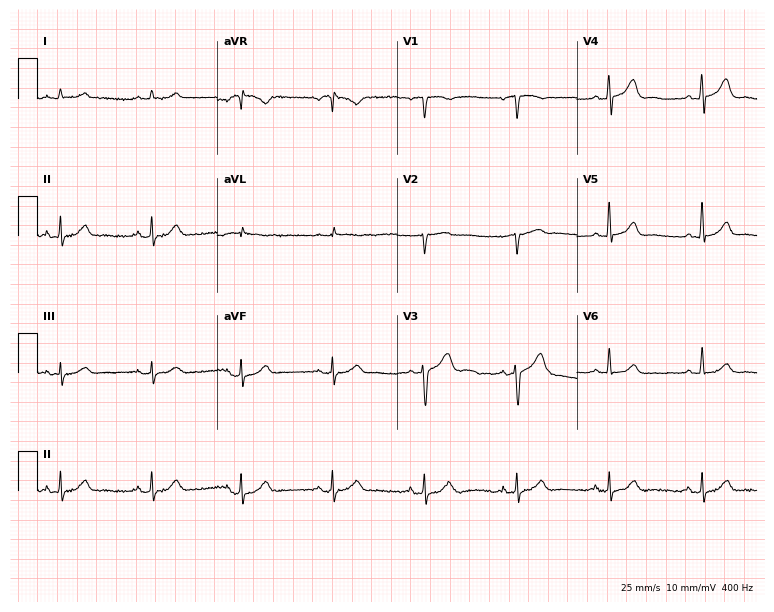
Electrocardiogram, a 58-year-old man. Overall reading on record: normal ECG.